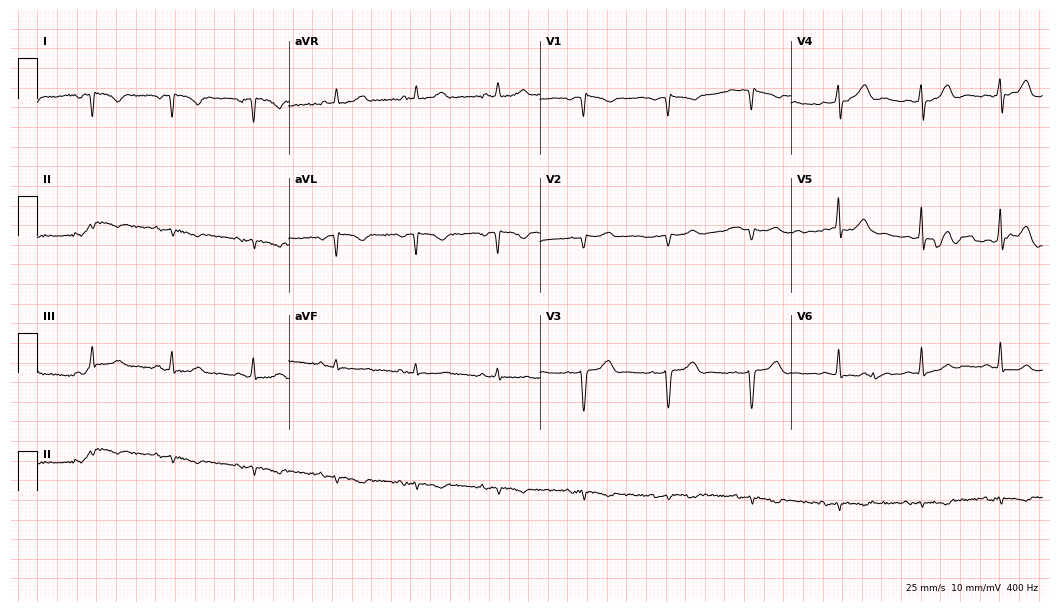
12-lead ECG from a woman, 44 years old. No first-degree AV block, right bundle branch block, left bundle branch block, sinus bradycardia, atrial fibrillation or sinus tachycardia recorded for this tracing. Findings outside these six are not listed.